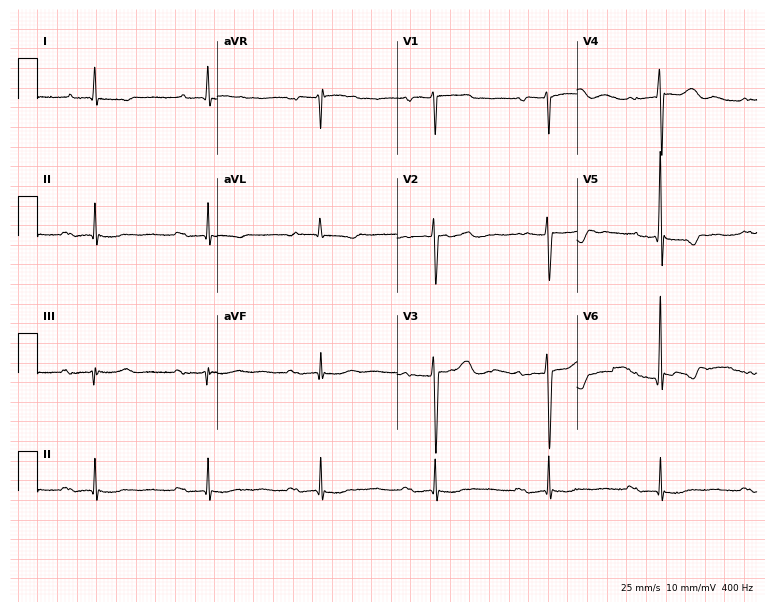
ECG (7.3-second recording at 400 Hz) — a 79-year-old male patient. Findings include first-degree AV block.